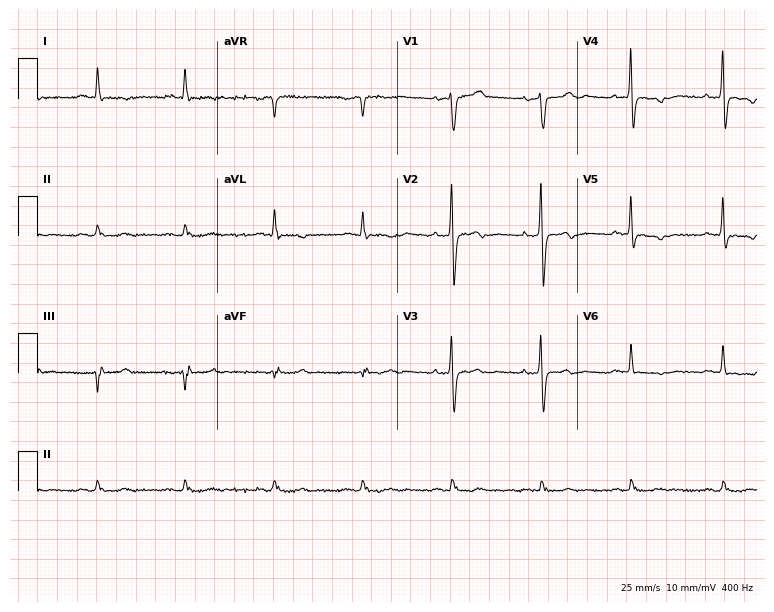
ECG — a 63-year-old male patient. Labelled as a normal ECG.